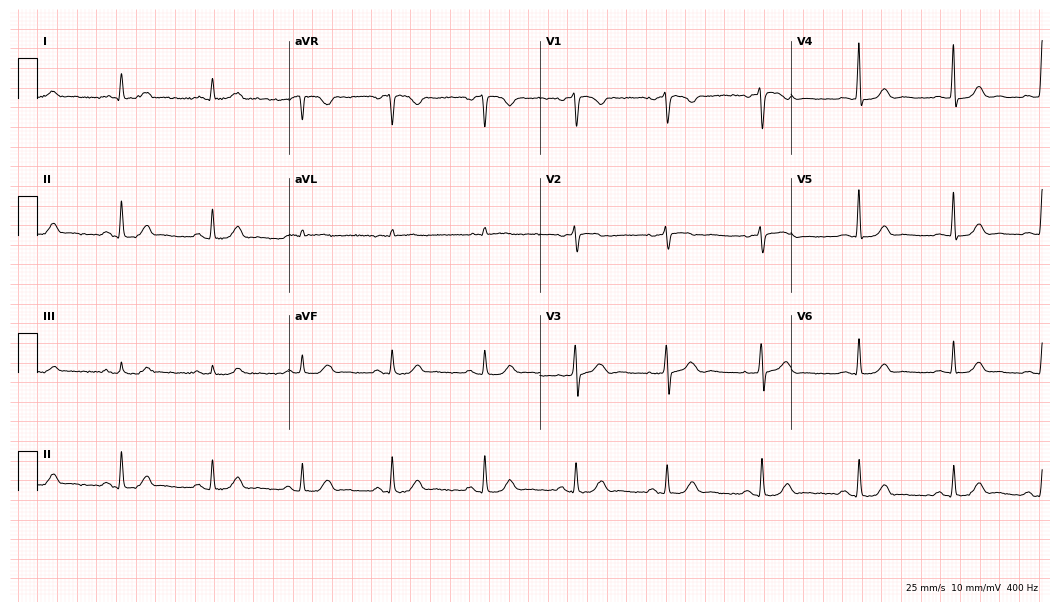
Standard 12-lead ECG recorded from a woman, 42 years old. Read as a normal ECG.